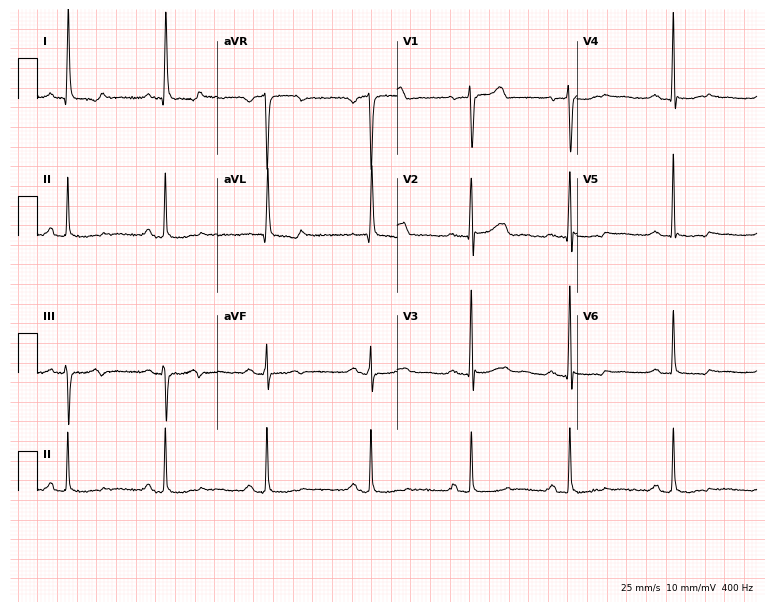
12-lead ECG from a 71-year-old female. No first-degree AV block, right bundle branch block (RBBB), left bundle branch block (LBBB), sinus bradycardia, atrial fibrillation (AF) or sinus tachycardia recorded for this tracing.